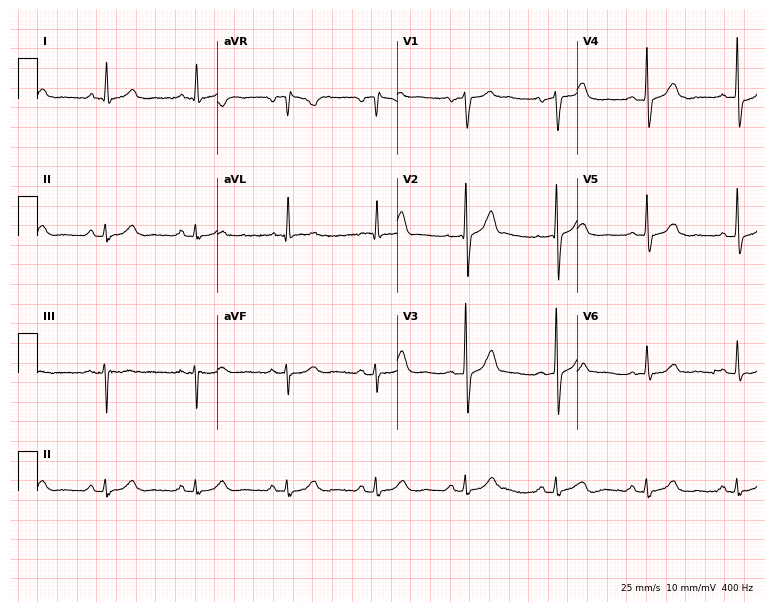
ECG (7.3-second recording at 400 Hz) — a man, 68 years old. Labelled as a normal ECG.